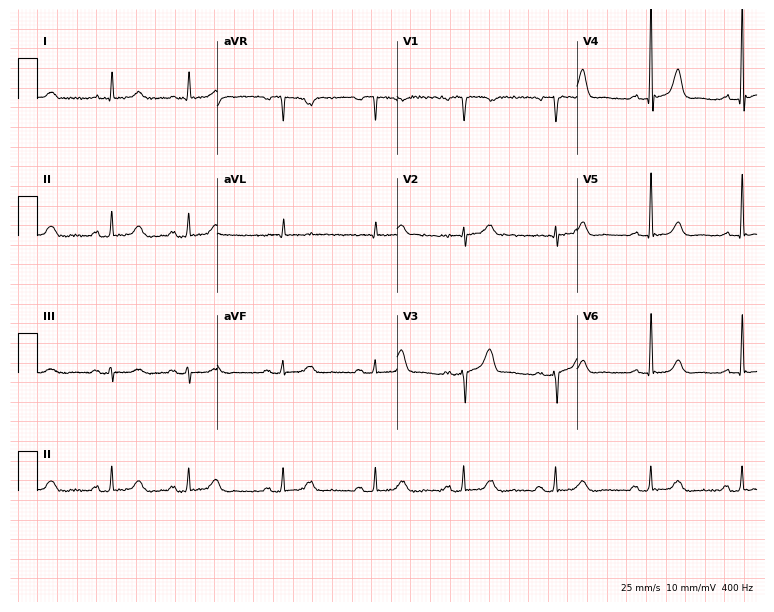
12-lead ECG from a 74-year-old male (7.3-second recording at 400 Hz). No first-degree AV block, right bundle branch block, left bundle branch block, sinus bradycardia, atrial fibrillation or sinus tachycardia recorded for this tracing.